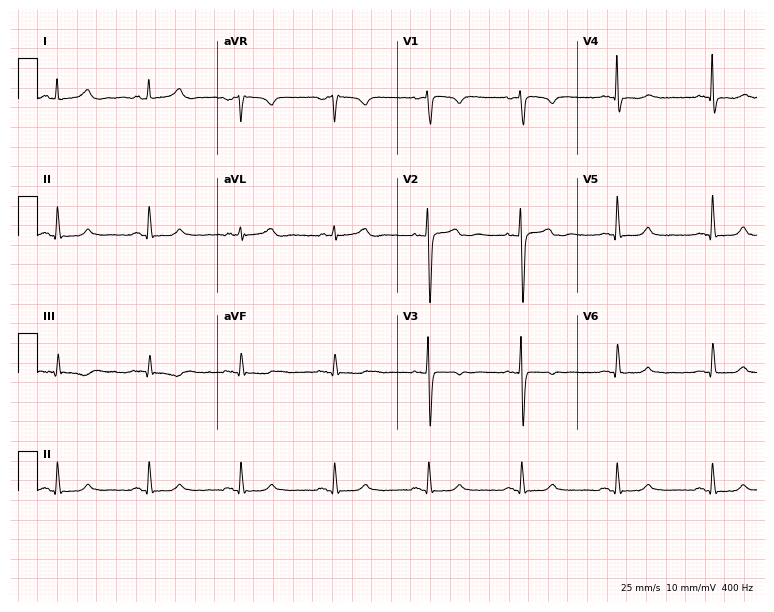
ECG (7.3-second recording at 400 Hz) — a 47-year-old female patient. Labelled as a normal ECG.